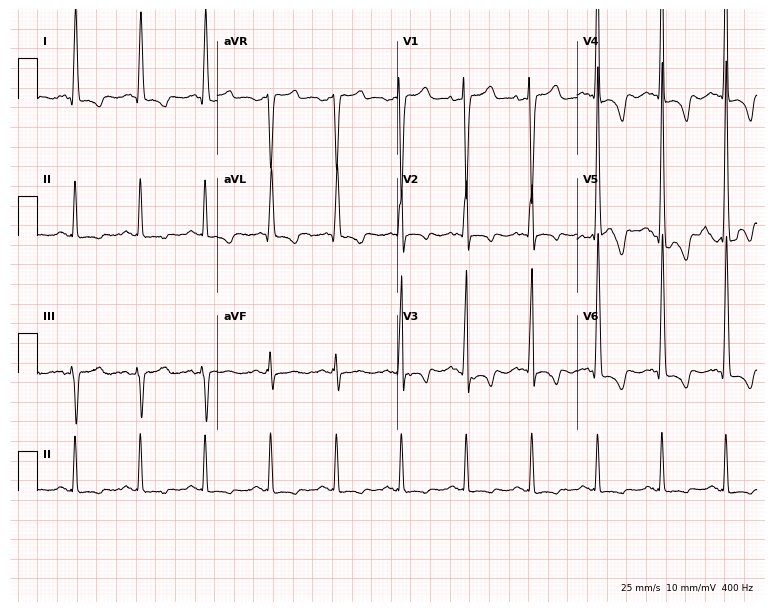
ECG (7.3-second recording at 400 Hz) — a 69-year-old female. Screened for six findings — first-degree AV block, right bundle branch block, left bundle branch block, sinus bradycardia, atrial fibrillation, sinus tachycardia — none is recorded.